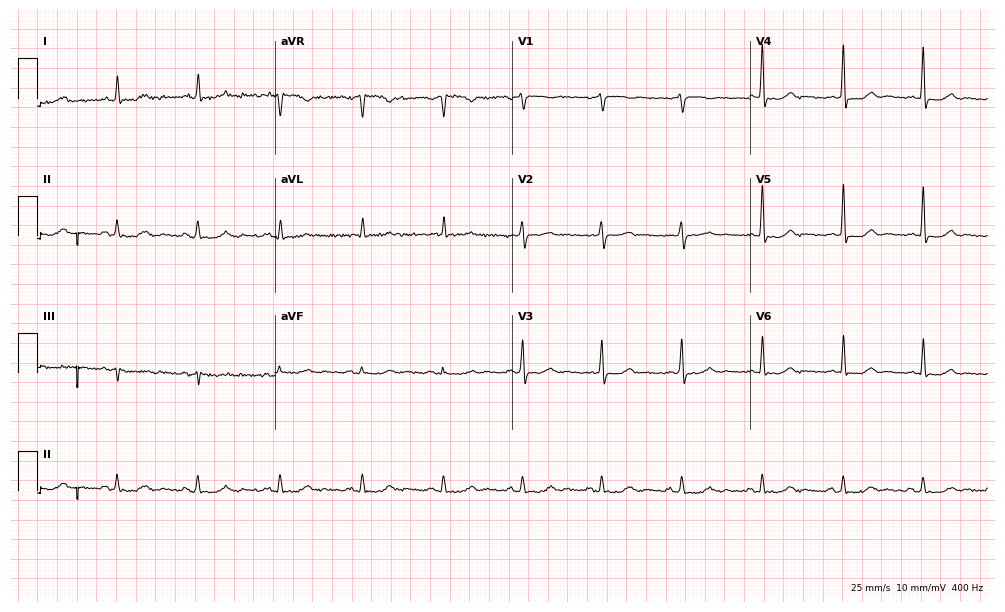
Resting 12-lead electrocardiogram. Patient: a female, 54 years old. None of these six findings is recorded: first-degree AV block, right bundle branch block, left bundle branch block, sinus bradycardia, atrial fibrillation, sinus tachycardia.